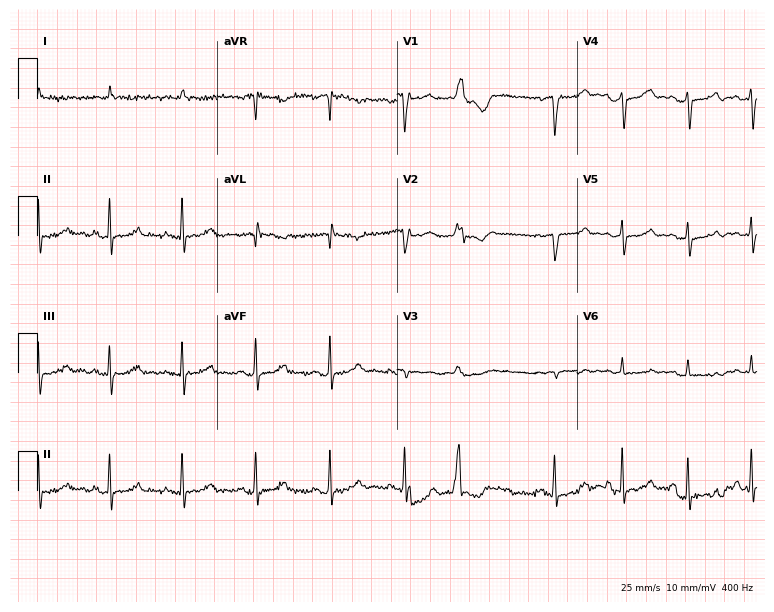
12-lead ECG from a 60-year-old male patient. No first-degree AV block, right bundle branch block (RBBB), left bundle branch block (LBBB), sinus bradycardia, atrial fibrillation (AF) or sinus tachycardia recorded for this tracing. Findings outside these six are not listed.